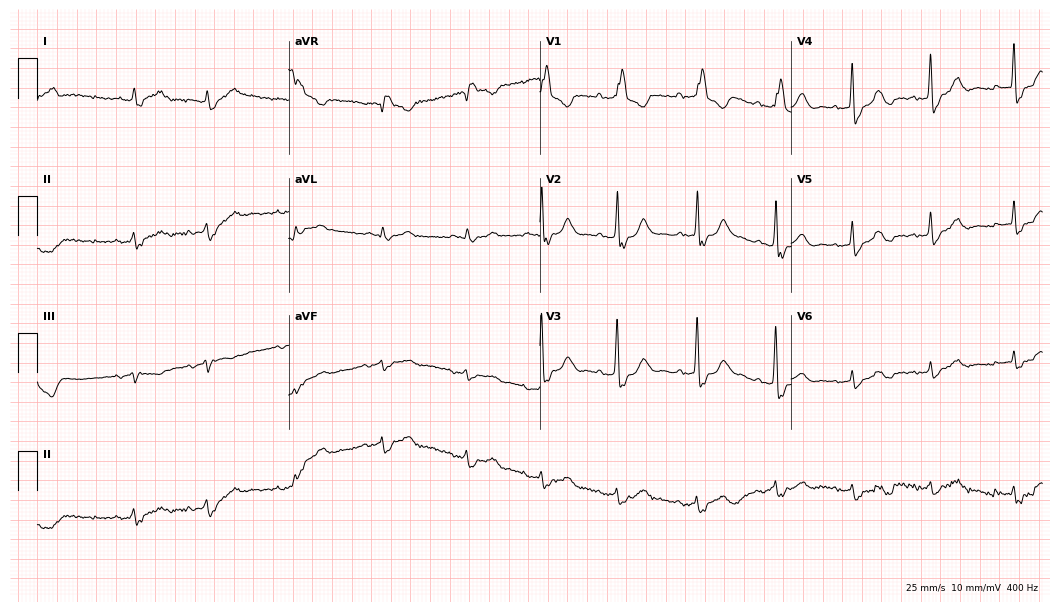
Electrocardiogram, a man, 81 years old. Interpretation includes right bundle branch block.